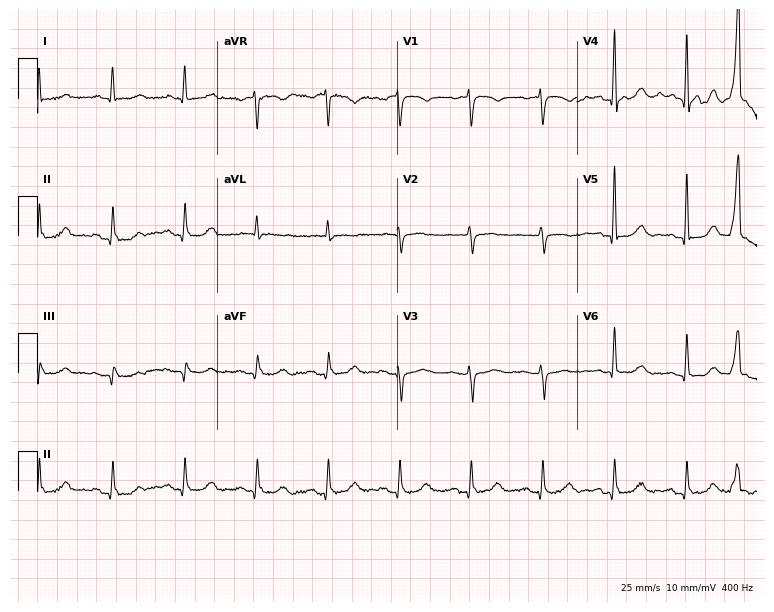
Standard 12-lead ECG recorded from a female, 82 years old. None of these six findings is recorded: first-degree AV block, right bundle branch block, left bundle branch block, sinus bradycardia, atrial fibrillation, sinus tachycardia.